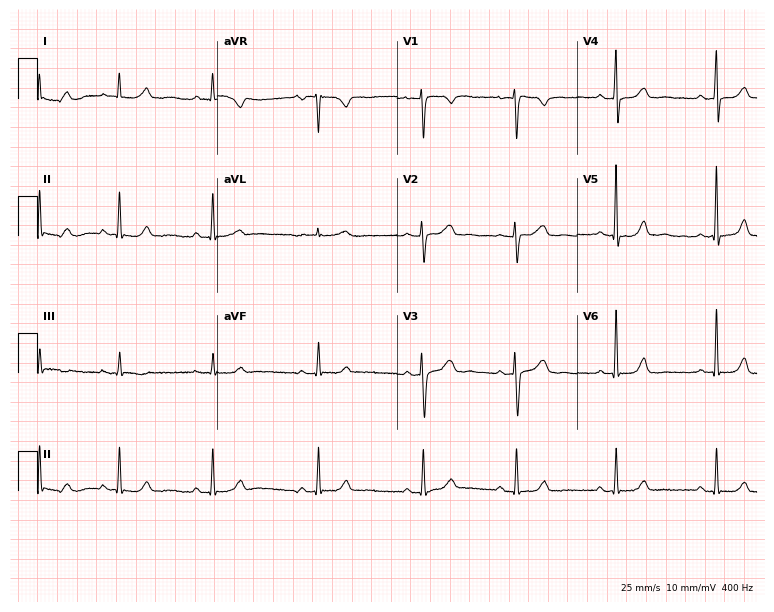
ECG (7.3-second recording at 400 Hz) — a female, 48 years old. Screened for six findings — first-degree AV block, right bundle branch block, left bundle branch block, sinus bradycardia, atrial fibrillation, sinus tachycardia — none is recorded.